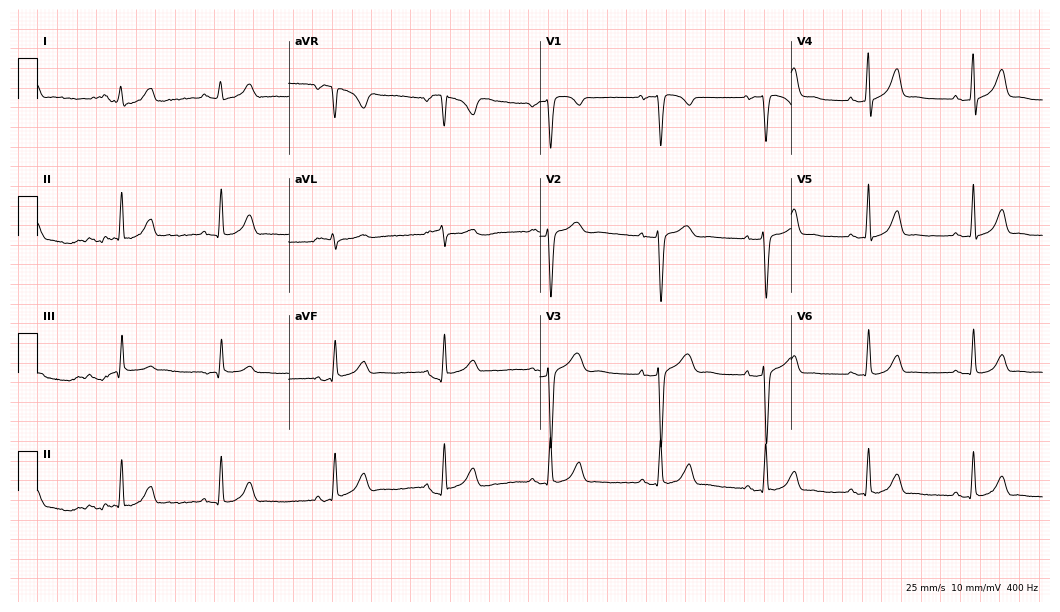
Electrocardiogram, a female, 29 years old. Overall reading on record: normal ECG.